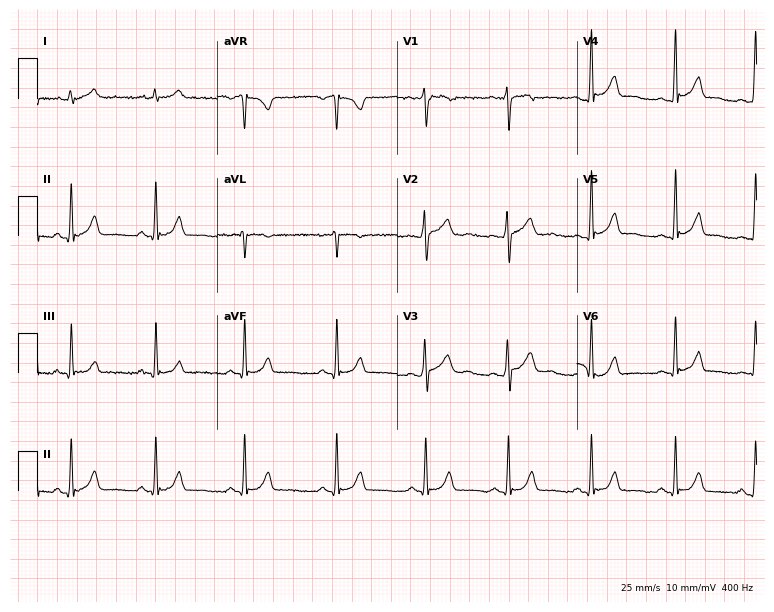
Electrocardiogram (7.3-second recording at 400 Hz), a male, 20 years old. Overall reading on record: normal ECG.